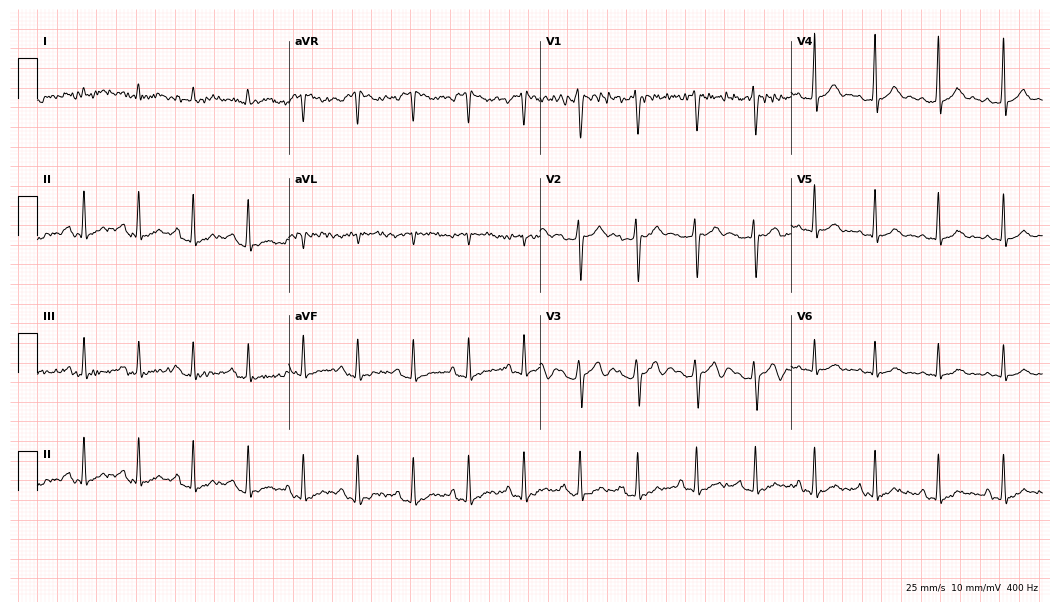
Resting 12-lead electrocardiogram. Patient: a 35-year-old male. None of these six findings is recorded: first-degree AV block, right bundle branch block, left bundle branch block, sinus bradycardia, atrial fibrillation, sinus tachycardia.